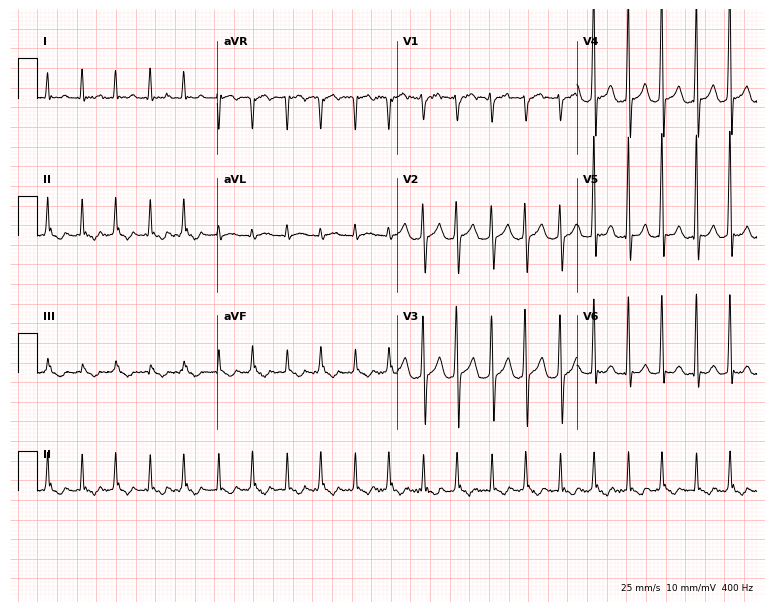
ECG — a male, 50 years old. Screened for six findings — first-degree AV block, right bundle branch block, left bundle branch block, sinus bradycardia, atrial fibrillation, sinus tachycardia — none is recorded. Only these six findings were labelled.